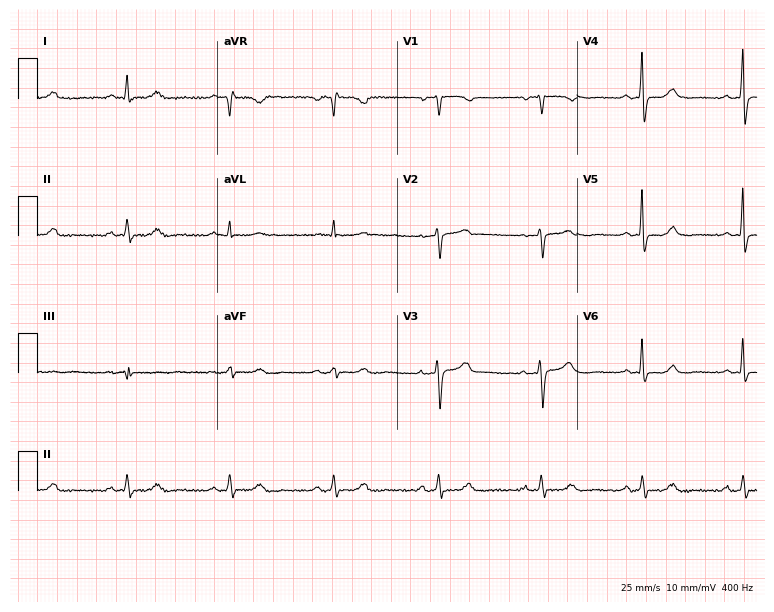
Electrocardiogram, a female, 75 years old. Overall reading on record: normal ECG.